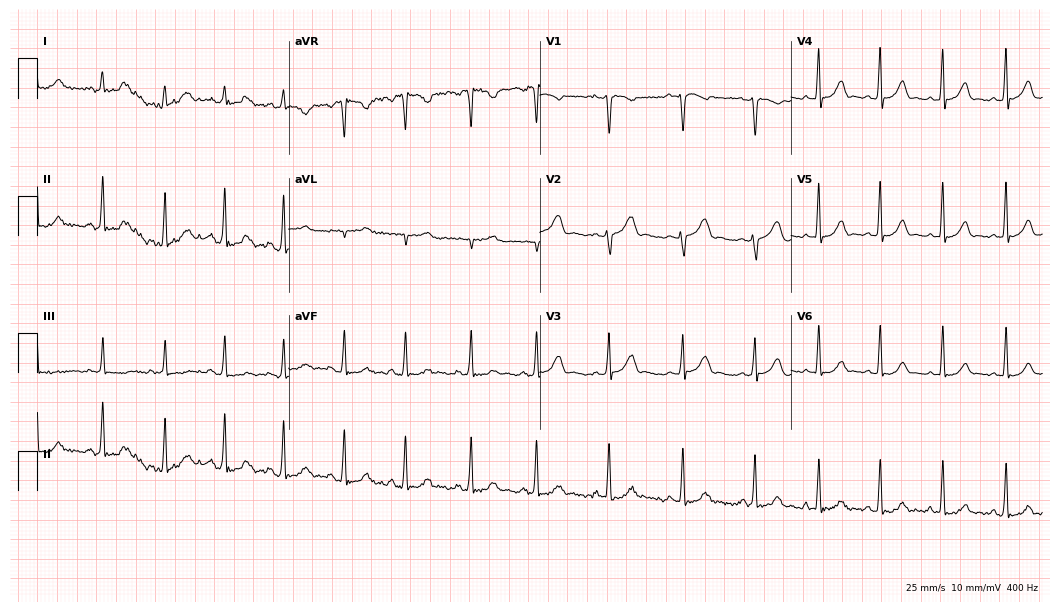
12-lead ECG from a 19-year-old female patient (10.2-second recording at 400 Hz). No first-degree AV block, right bundle branch block, left bundle branch block, sinus bradycardia, atrial fibrillation or sinus tachycardia recorded for this tracing. Only these six findings were labelled.